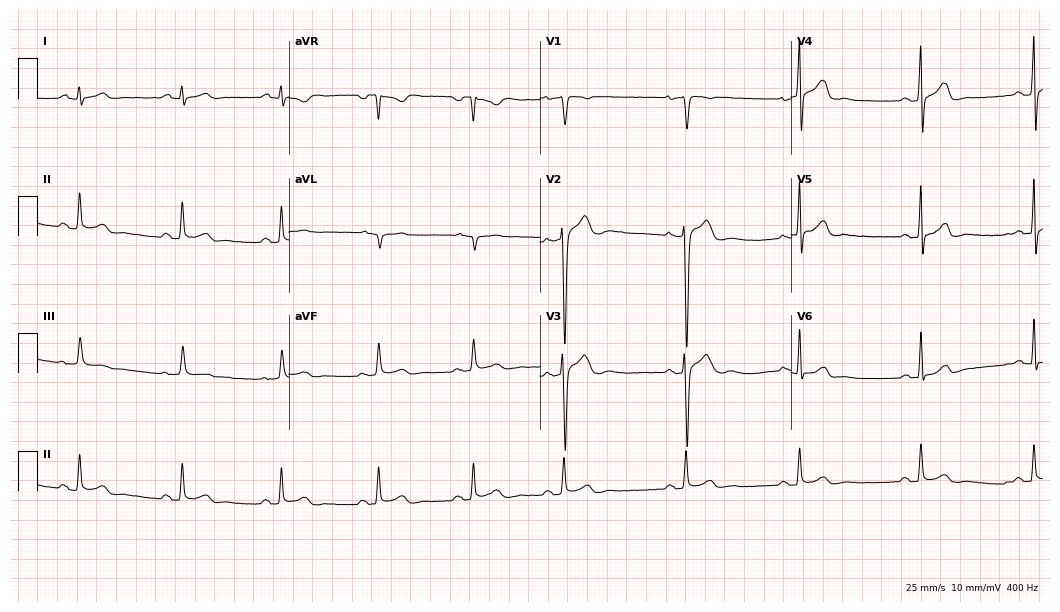
ECG (10.2-second recording at 400 Hz) — a male, 23 years old. Labelled as a normal ECG.